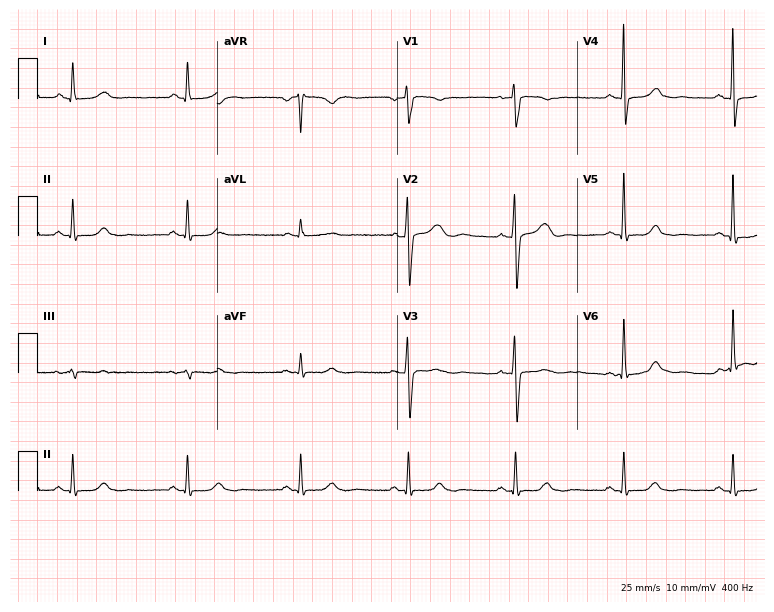
Electrocardiogram, a 63-year-old female patient. Overall reading on record: normal ECG.